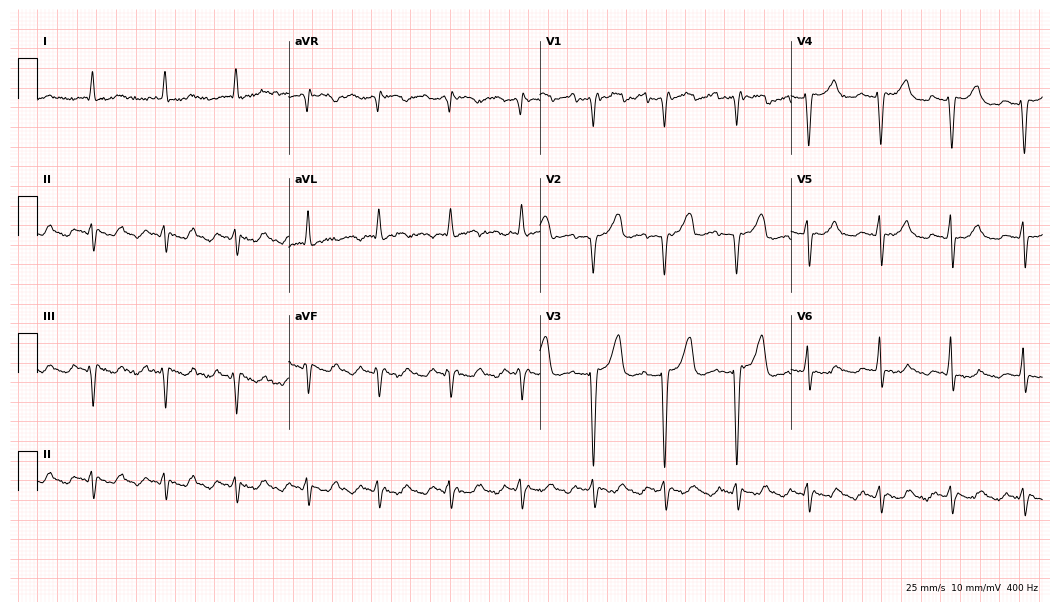
Standard 12-lead ECG recorded from a man, 77 years old (10.2-second recording at 400 Hz). None of these six findings is recorded: first-degree AV block, right bundle branch block, left bundle branch block, sinus bradycardia, atrial fibrillation, sinus tachycardia. Findings outside these six are not listed.